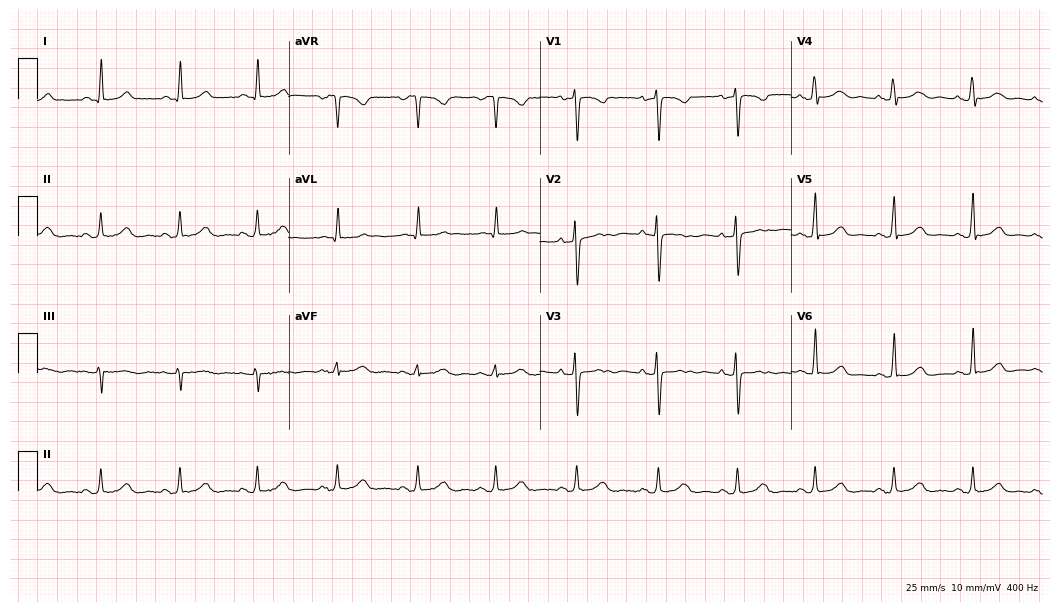
Standard 12-lead ECG recorded from a female patient, 19 years old (10.2-second recording at 400 Hz). Read as a normal ECG.